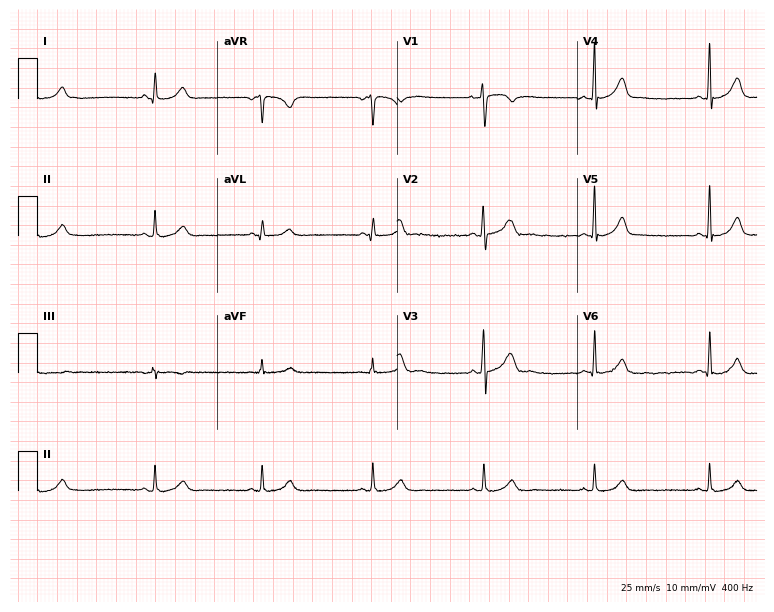
12-lead ECG from a 32-year-old female patient (7.3-second recording at 400 Hz). Recorded interpretation: within normal limits.